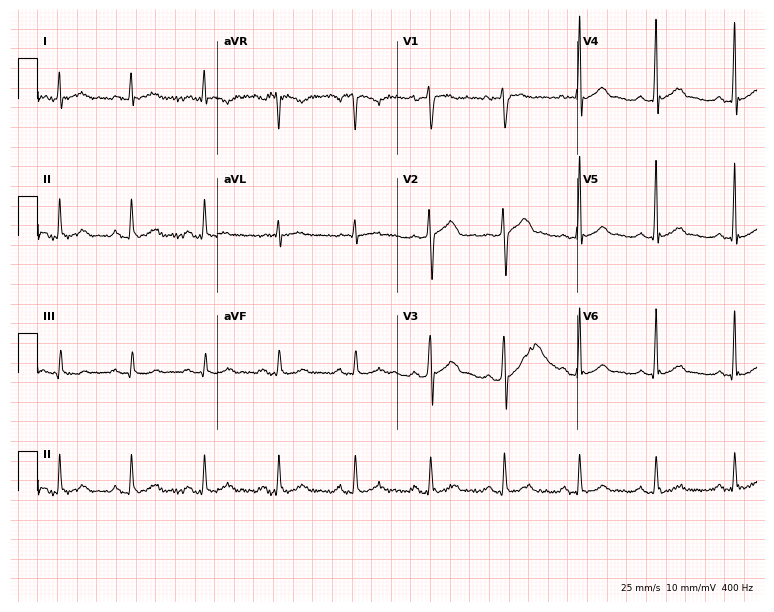
Standard 12-lead ECG recorded from a 47-year-old male. Read as a normal ECG.